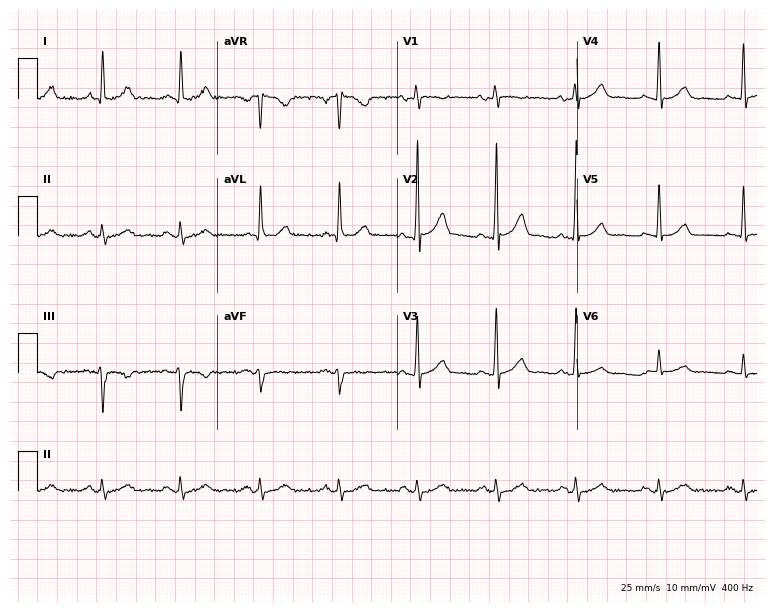
12-lead ECG from a man, 55 years old. Recorded interpretation: within normal limits.